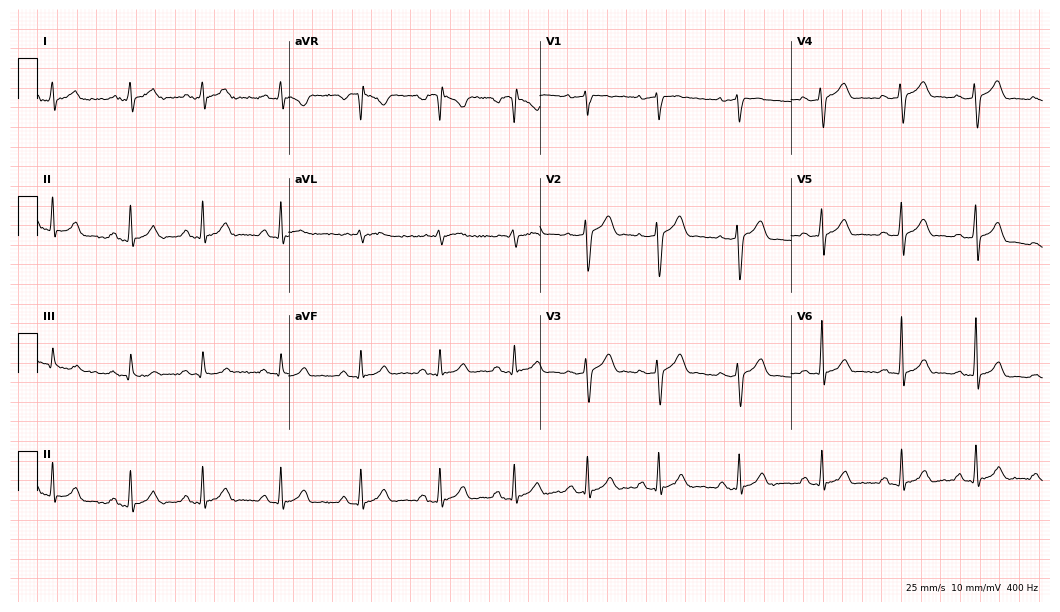
ECG — a man, 28 years old. Labelled as a normal ECG.